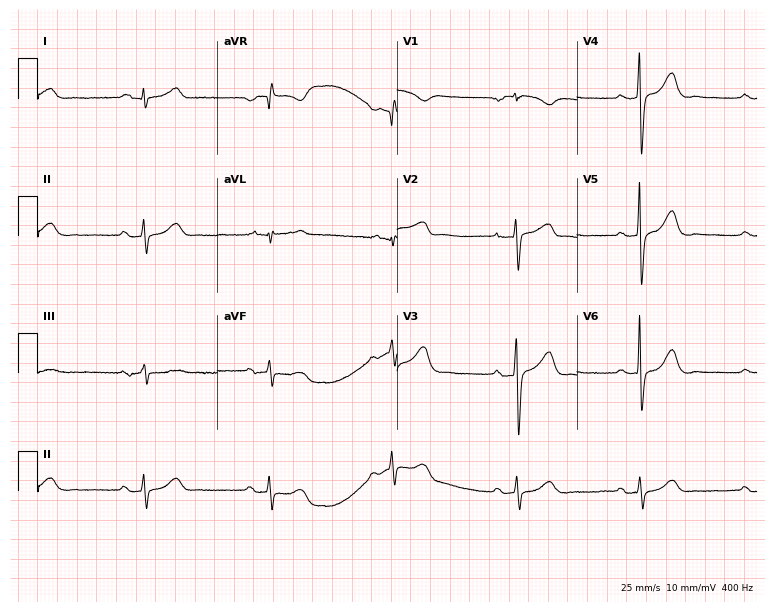
12-lead ECG from a 71-year-old male (7.3-second recording at 400 Hz). Recorded interpretation: within normal limits.